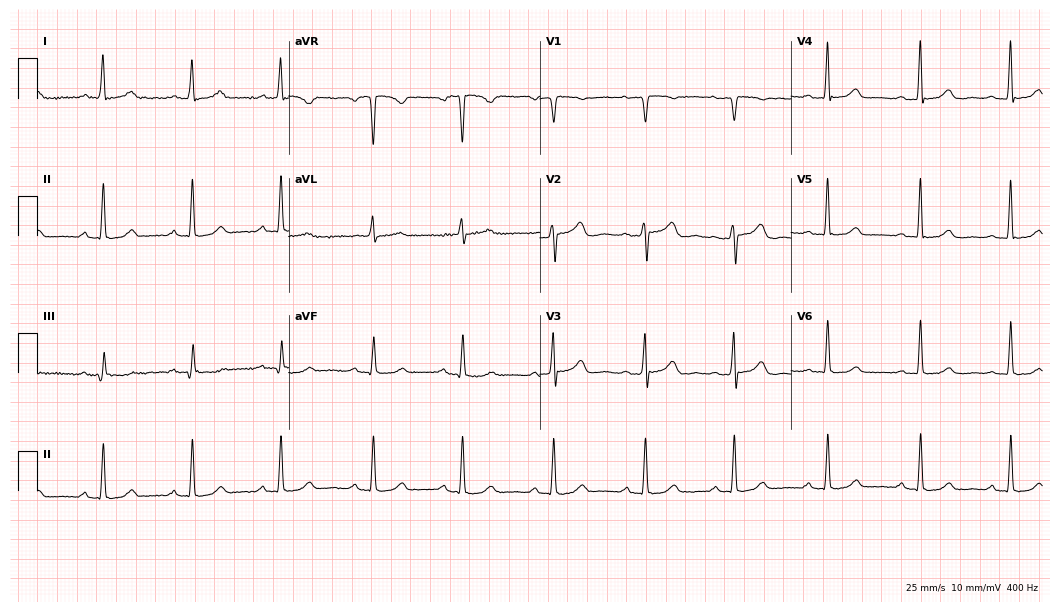
Standard 12-lead ECG recorded from a female, 59 years old (10.2-second recording at 400 Hz). None of these six findings is recorded: first-degree AV block, right bundle branch block (RBBB), left bundle branch block (LBBB), sinus bradycardia, atrial fibrillation (AF), sinus tachycardia. Only these six findings were labelled.